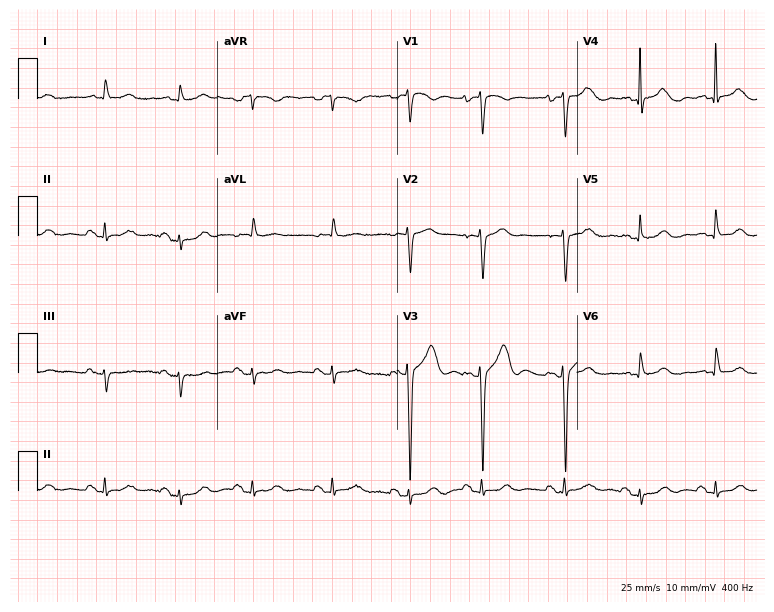
Standard 12-lead ECG recorded from a woman, 79 years old (7.3-second recording at 400 Hz). None of these six findings is recorded: first-degree AV block, right bundle branch block (RBBB), left bundle branch block (LBBB), sinus bradycardia, atrial fibrillation (AF), sinus tachycardia.